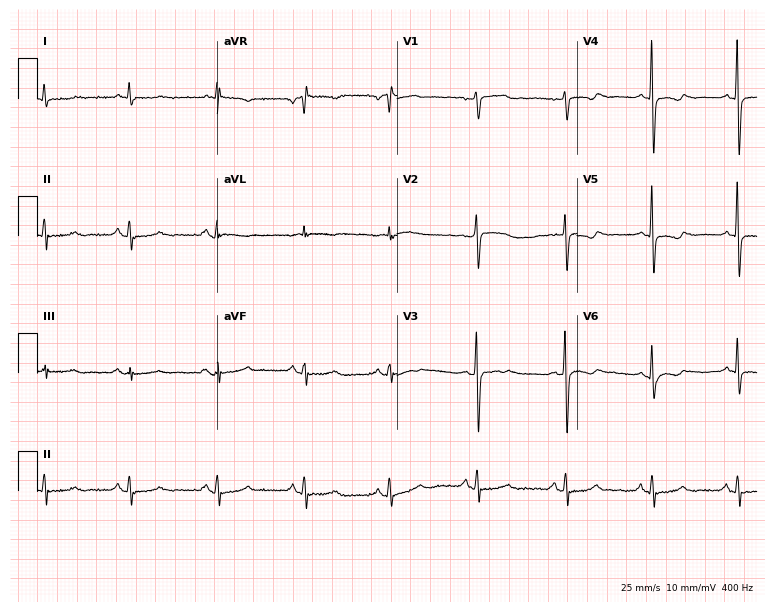
12-lead ECG from a female patient, 69 years old. Screened for six findings — first-degree AV block, right bundle branch block (RBBB), left bundle branch block (LBBB), sinus bradycardia, atrial fibrillation (AF), sinus tachycardia — none is recorded. Only these six findings were labelled.